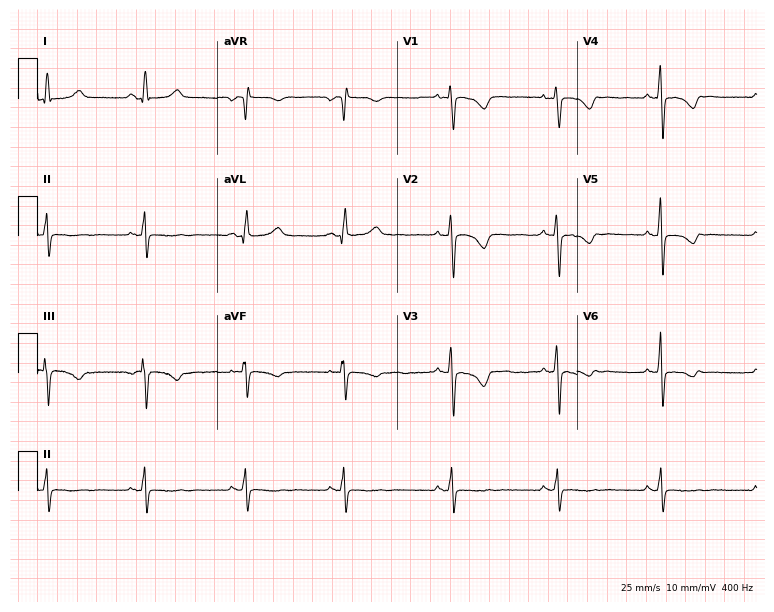
Standard 12-lead ECG recorded from a female, 29 years old (7.3-second recording at 400 Hz). None of these six findings is recorded: first-degree AV block, right bundle branch block (RBBB), left bundle branch block (LBBB), sinus bradycardia, atrial fibrillation (AF), sinus tachycardia. Findings outside these six are not listed.